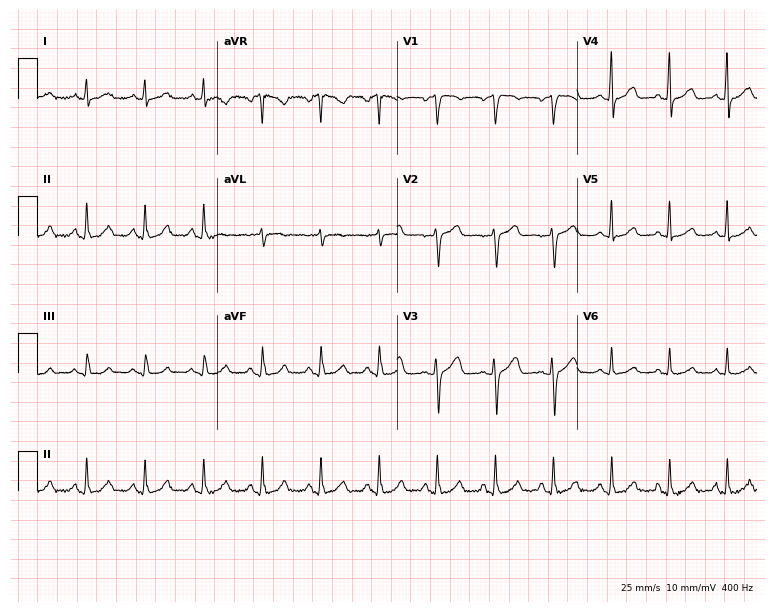
12-lead ECG from a woman, 64 years old (7.3-second recording at 400 Hz). Shows sinus tachycardia (a sinus rate of 100 beats per minute or more).